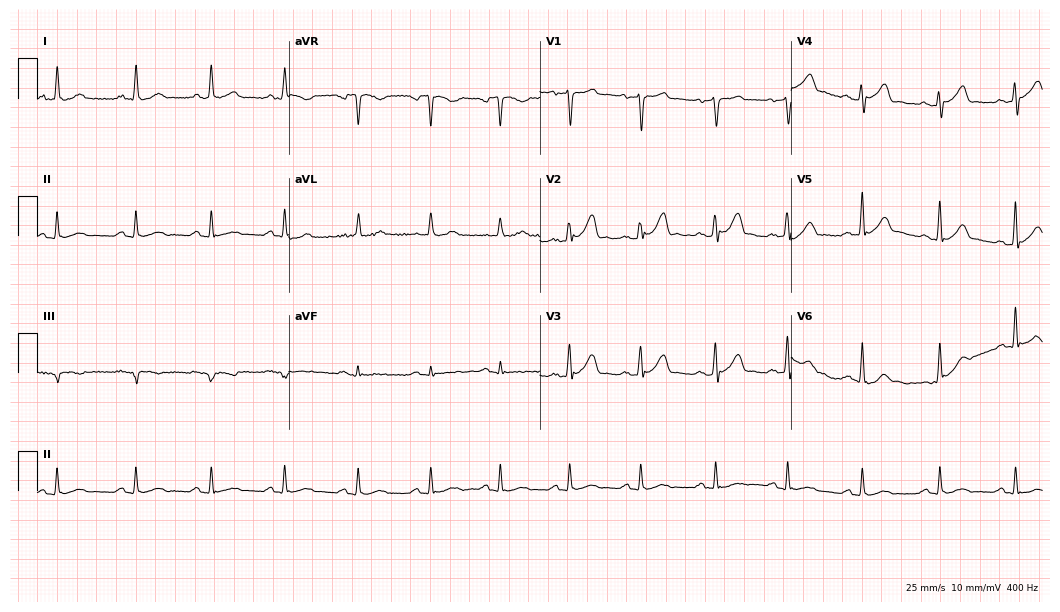
Resting 12-lead electrocardiogram. Patient: a male, 43 years old. Read as a normal ECG.